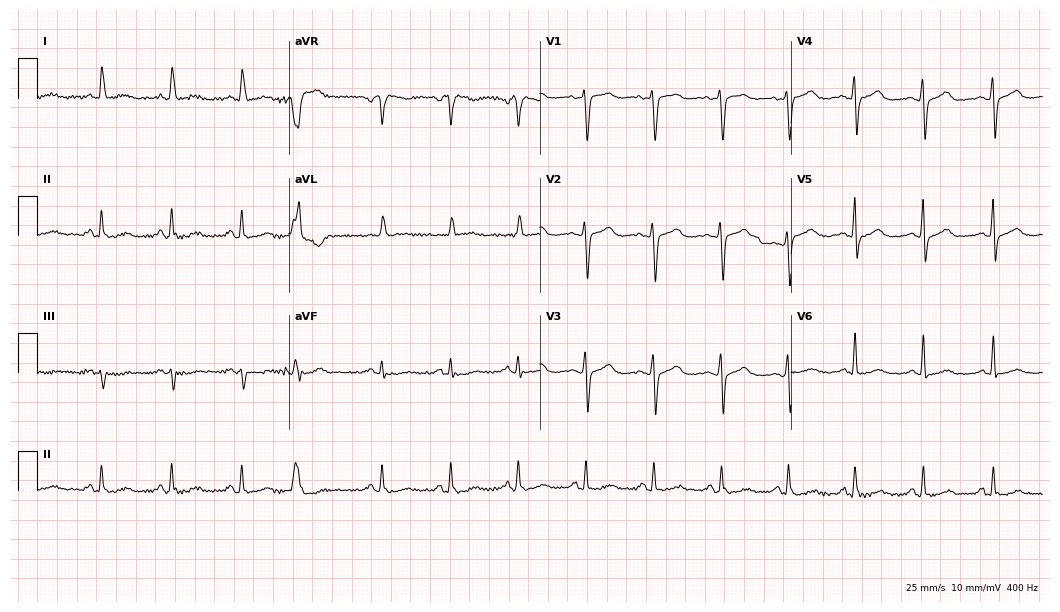
ECG — a 70-year-old woman. Screened for six findings — first-degree AV block, right bundle branch block, left bundle branch block, sinus bradycardia, atrial fibrillation, sinus tachycardia — none is recorded. Other findings, if any, are not listed.